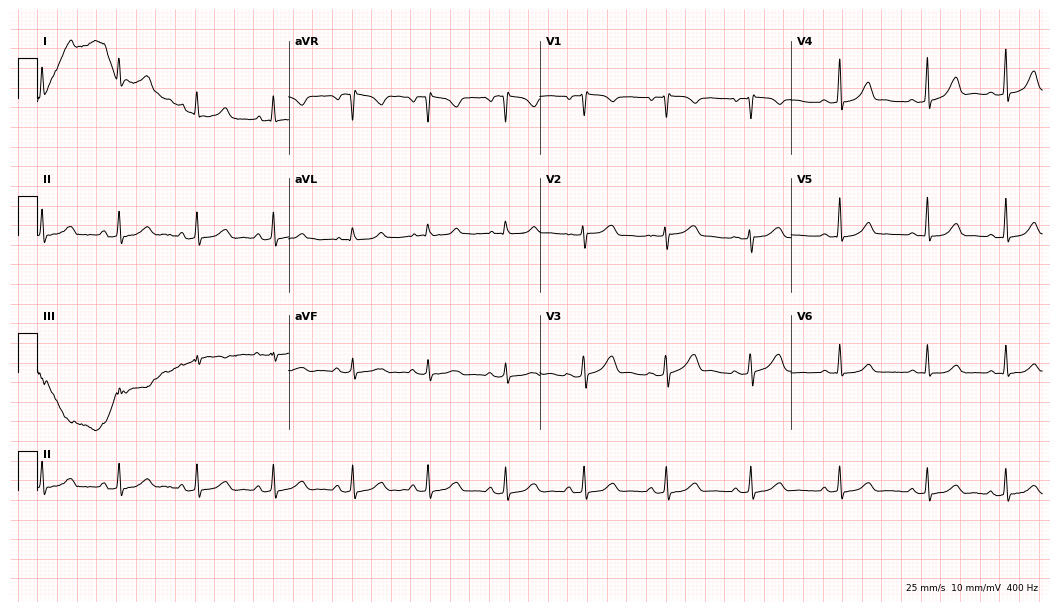
Standard 12-lead ECG recorded from a 27-year-old female patient. None of these six findings is recorded: first-degree AV block, right bundle branch block, left bundle branch block, sinus bradycardia, atrial fibrillation, sinus tachycardia.